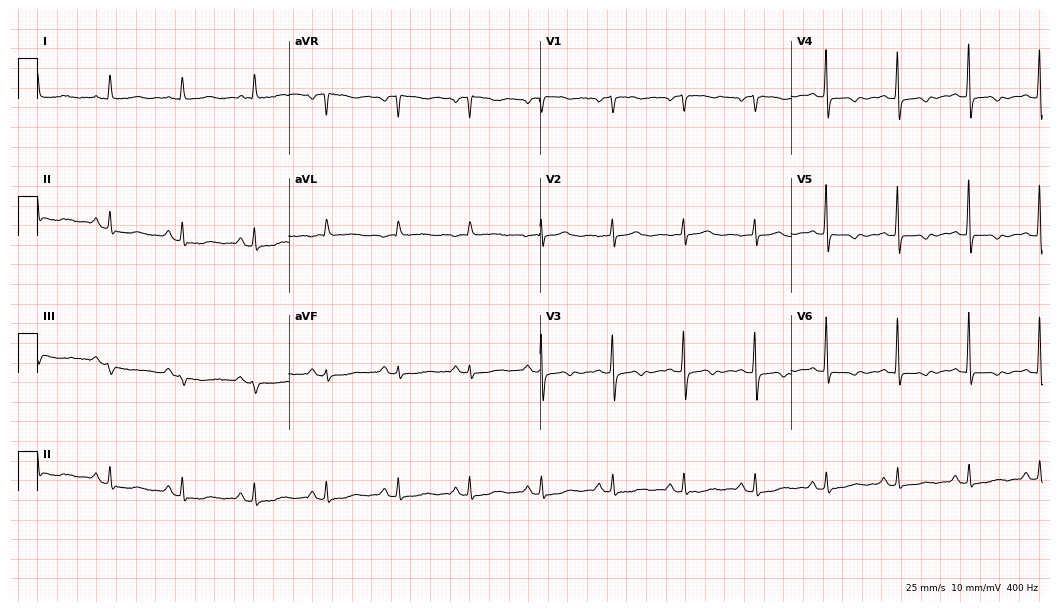
ECG (10.2-second recording at 400 Hz) — a 77-year-old woman. Screened for six findings — first-degree AV block, right bundle branch block, left bundle branch block, sinus bradycardia, atrial fibrillation, sinus tachycardia — none is recorded.